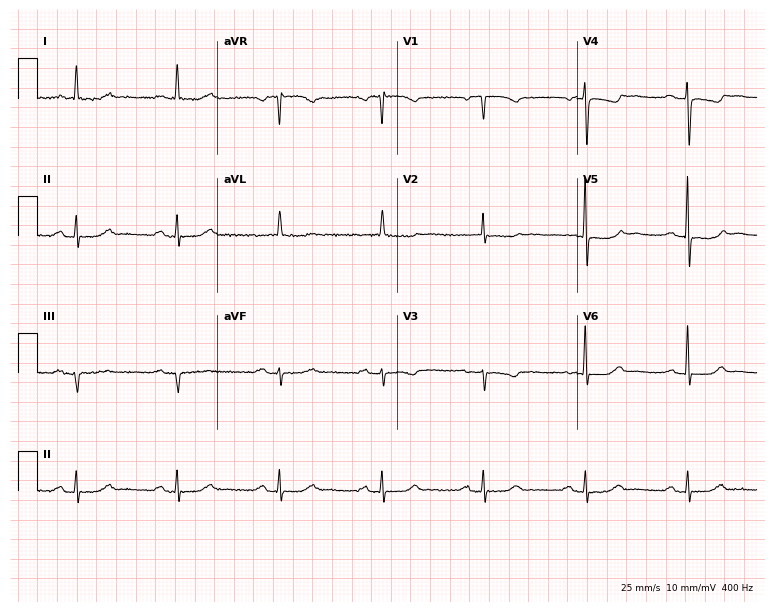
12-lead ECG (7.3-second recording at 400 Hz) from a female, 72 years old. Screened for six findings — first-degree AV block, right bundle branch block, left bundle branch block, sinus bradycardia, atrial fibrillation, sinus tachycardia — none is recorded. Findings outside these six are not listed.